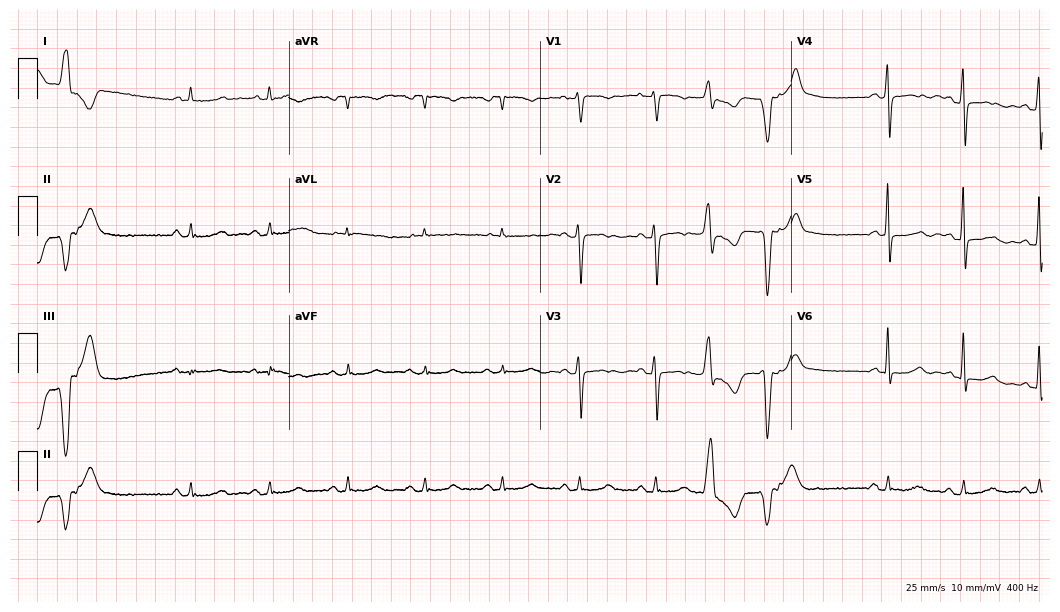
12-lead ECG from a 76-year-old woman. Screened for six findings — first-degree AV block, right bundle branch block, left bundle branch block, sinus bradycardia, atrial fibrillation, sinus tachycardia — none is recorded.